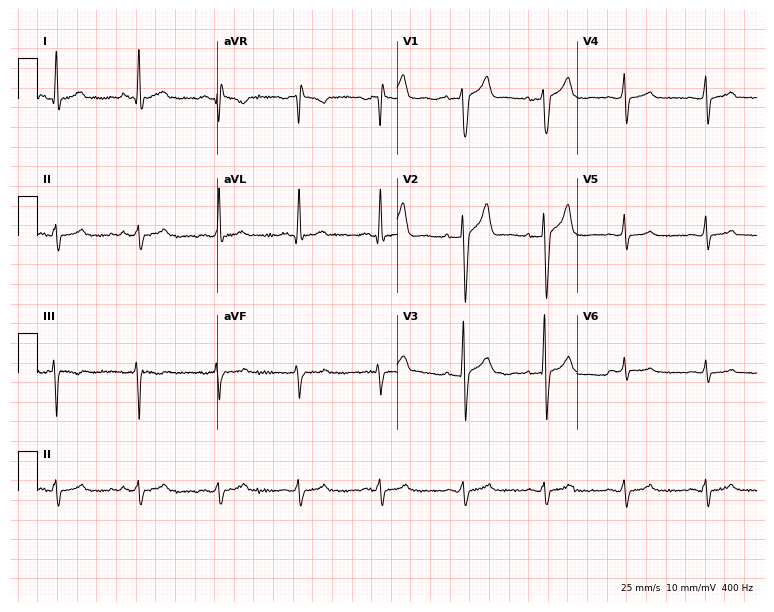
Standard 12-lead ECG recorded from a male, 49 years old (7.3-second recording at 400 Hz). None of these six findings is recorded: first-degree AV block, right bundle branch block (RBBB), left bundle branch block (LBBB), sinus bradycardia, atrial fibrillation (AF), sinus tachycardia.